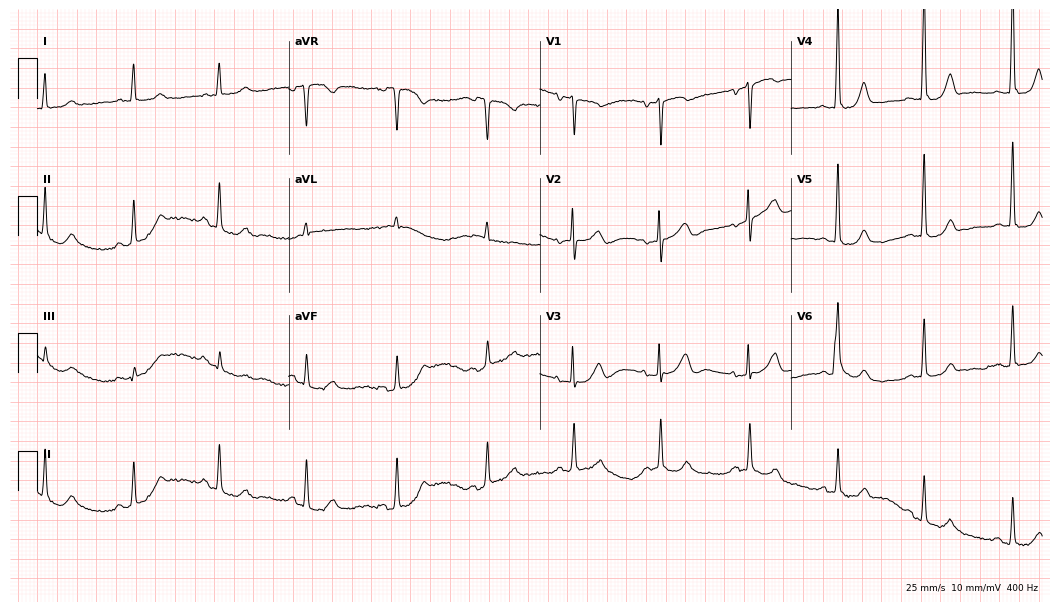
12-lead ECG from an 85-year-old female patient. Screened for six findings — first-degree AV block, right bundle branch block, left bundle branch block, sinus bradycardia, atrial fibrillation, sinus tachycardia — none is recorded. Other findings, if any, are not listed.